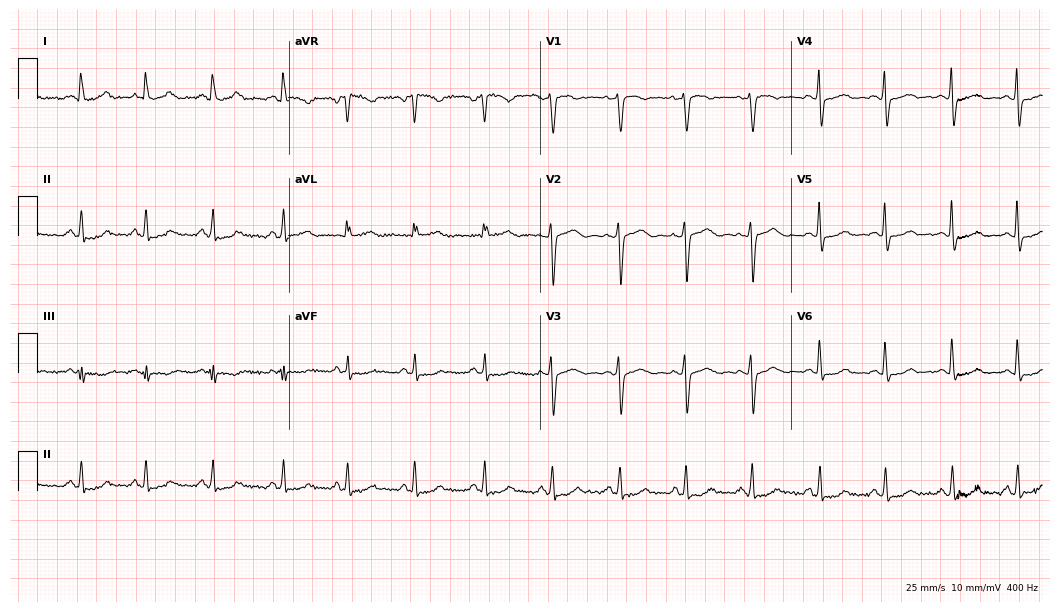
Electrocardiogram, a 47-year-old female patient. Of the six screened findings (first-degree AV block, right bundle branch block (RBBB), left bundle branch block (LBBB), sinus bradycardia, atrial fibrillation (AF), sinus tachycardia), none is recorded.